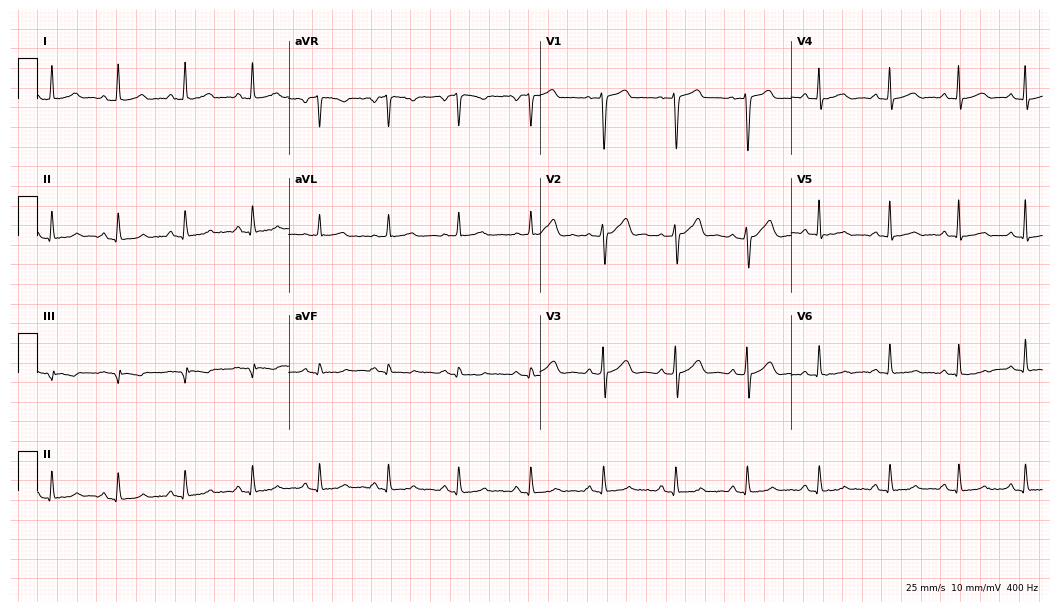
Electrocardiogram (10.2-second recording at 400 Hz), a man, 57 years old. Overall reading on record: normal ECG.